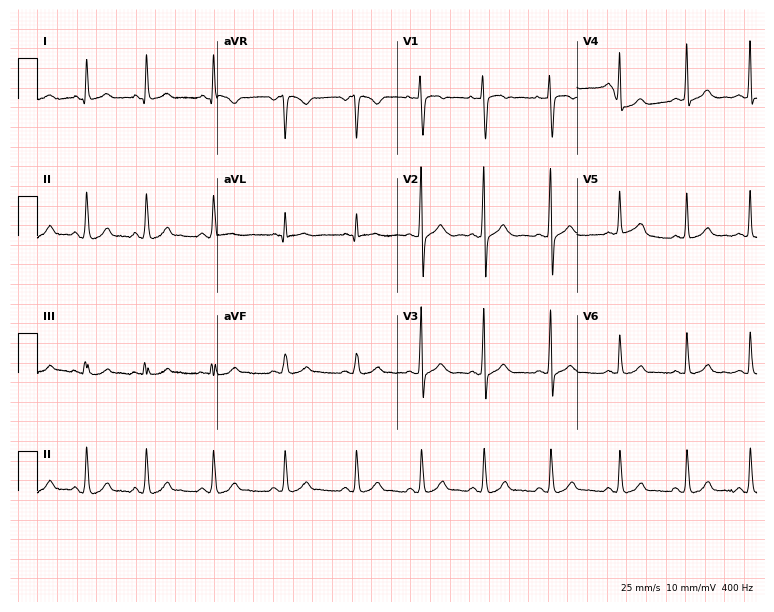
Standard 12-lead ECG recorded from a woman, 24 years old (7.3-second recording at 400 Hz). Read as a normal ECG.